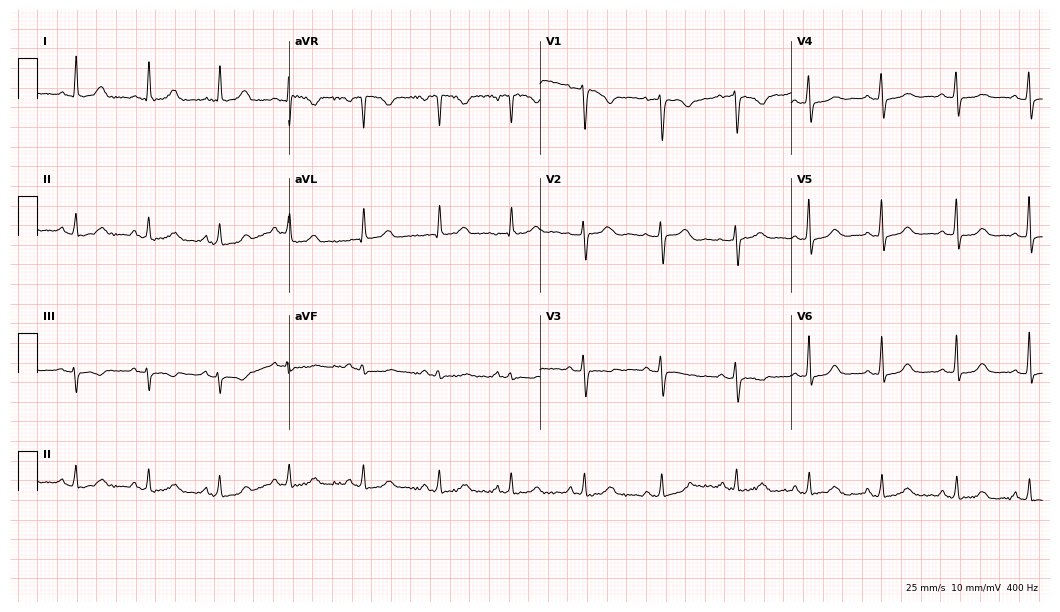
Standard 12-lead ECG recorded from a 42-year-old woman. None of these six findings is recorded: first-degree AV block, right bundle branch block, left bundle branch block, sinus bradycardia, atrial fibrillation, sinus tachycardia. Only these six findings were labelled.